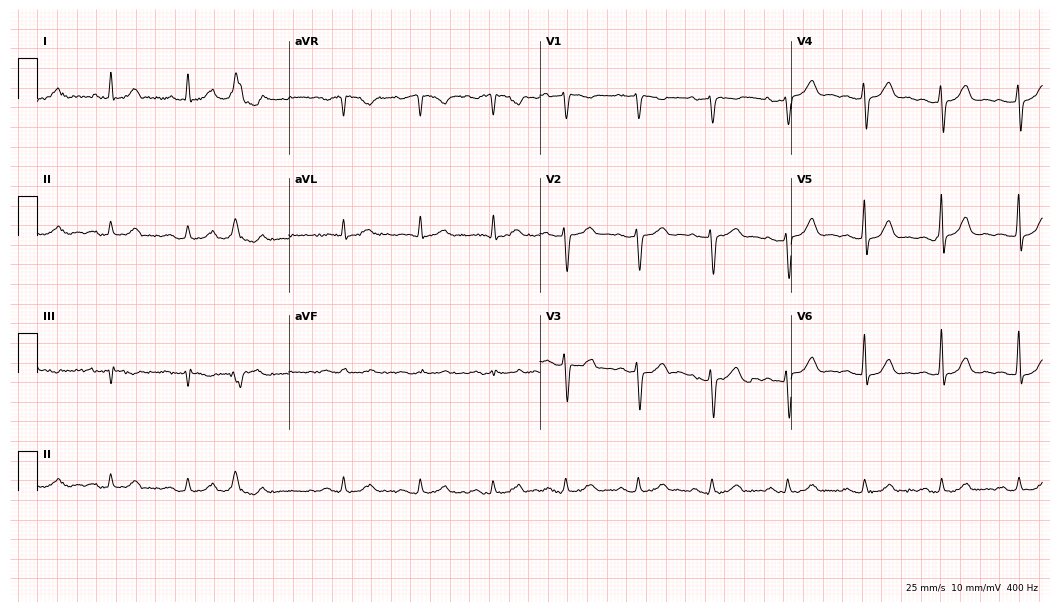
12-lead ECG from a 77-year-old man (10.2-second recording at 400 Hz). No first-degree AV block, right bundle branch block, left bundle branch block, sinus bradycardia, atrial fibrillation or sinus tachycardia recorded for this tracing. Only these six findings were labelled.